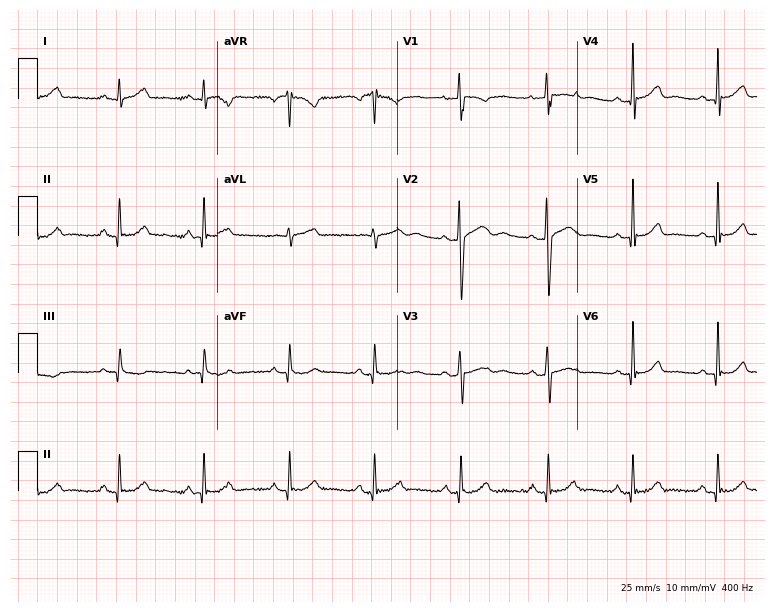
12-lead ECG from a 29-year-old woman. Labelled as a normal ECG.